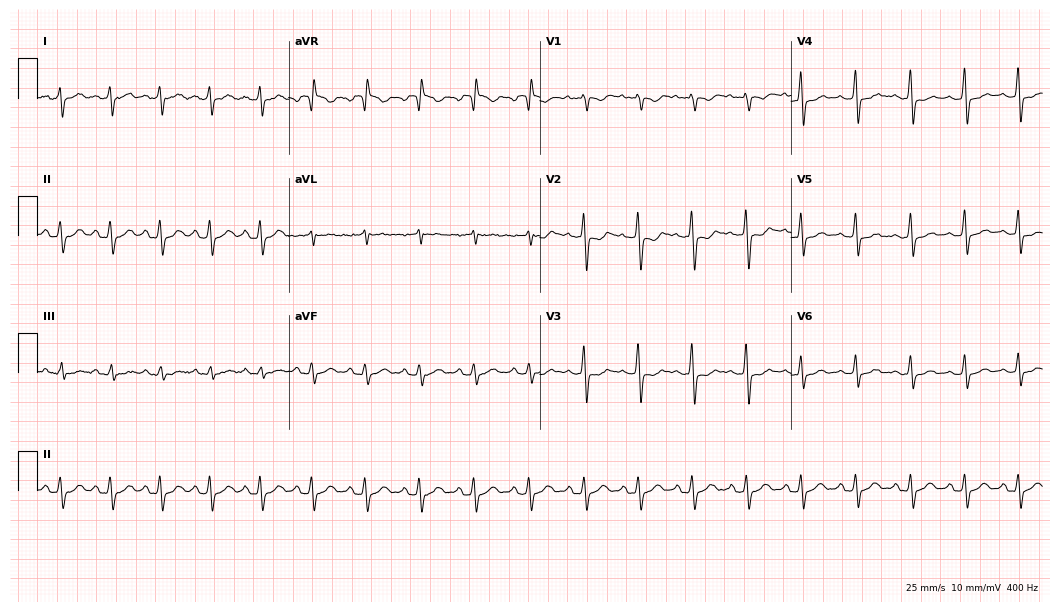
12-lead ECG from a man, 20 years old. Findings include sinus tachycardia (a sinus rate of 100 beats per minute or more).